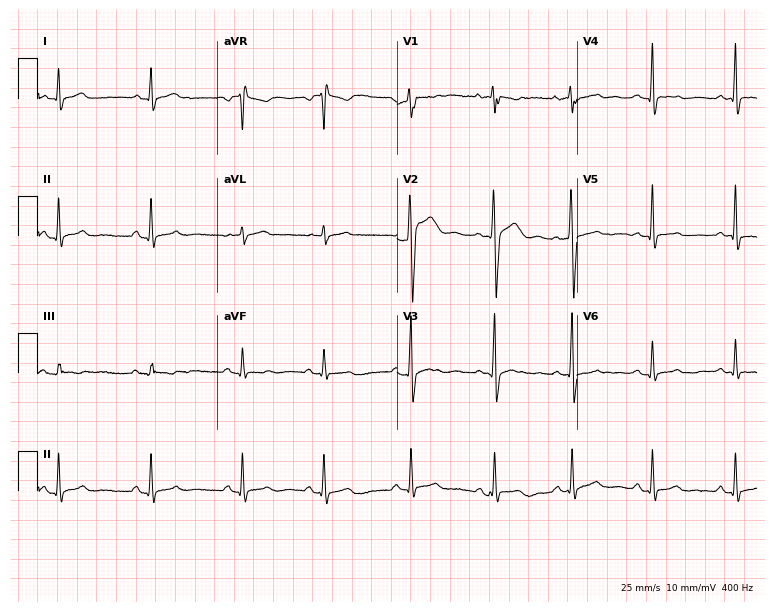
Resting 12-lead electrocardiogram (7.3-second recording at 400 Hz). Patient: a 36-year-old man. None of these six findings is recorded: first-degree AV block, right bundle branch block, left bundle branch block, sinus bradycardia, atrial fibrillation, sinus tachycardia.